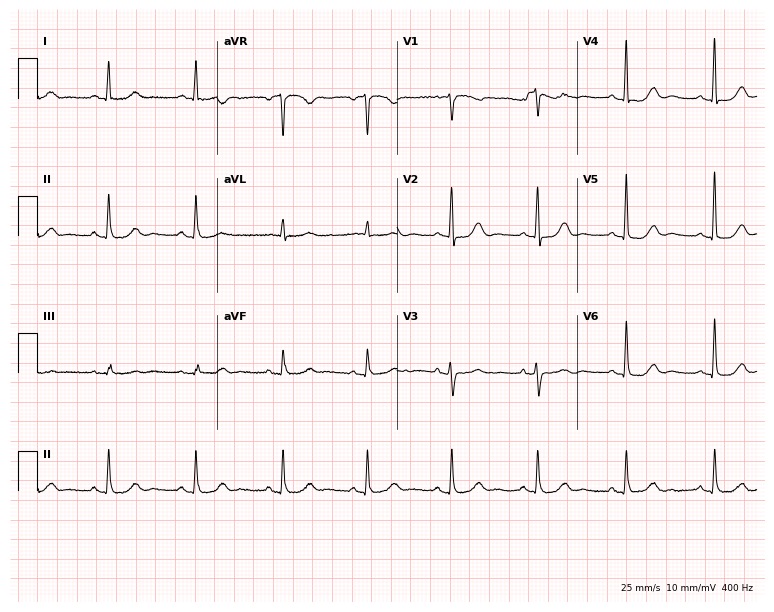
ECG (7.3-second recording at 400 Hz) — a 64-year-old female. Labelled as a normal ECG.